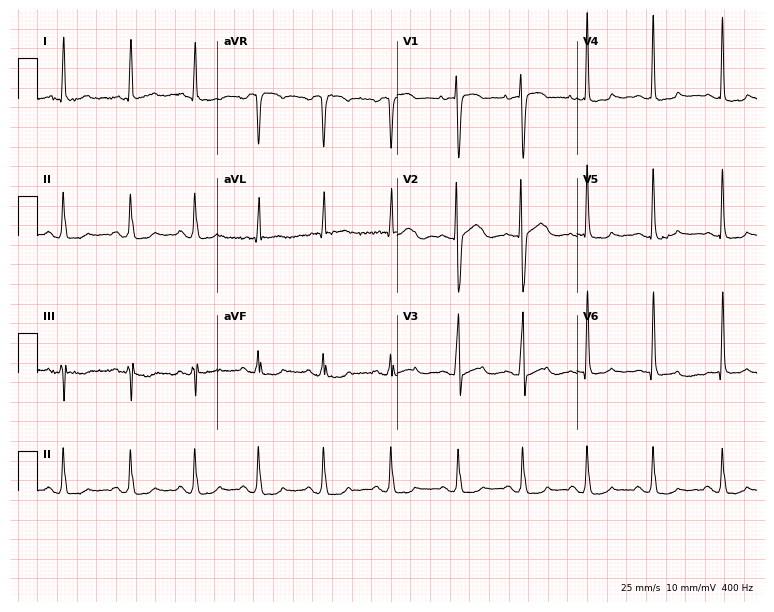
Standard 12-lead ECG recorded from a woman, 85 years old. None of these six findings is recorded: first-degree AV block, right bundle branch block (RBBB), left bundle branch block (LBBB), sinus bradycardia, atrial fibrillation (AF), sinus tachycardia.